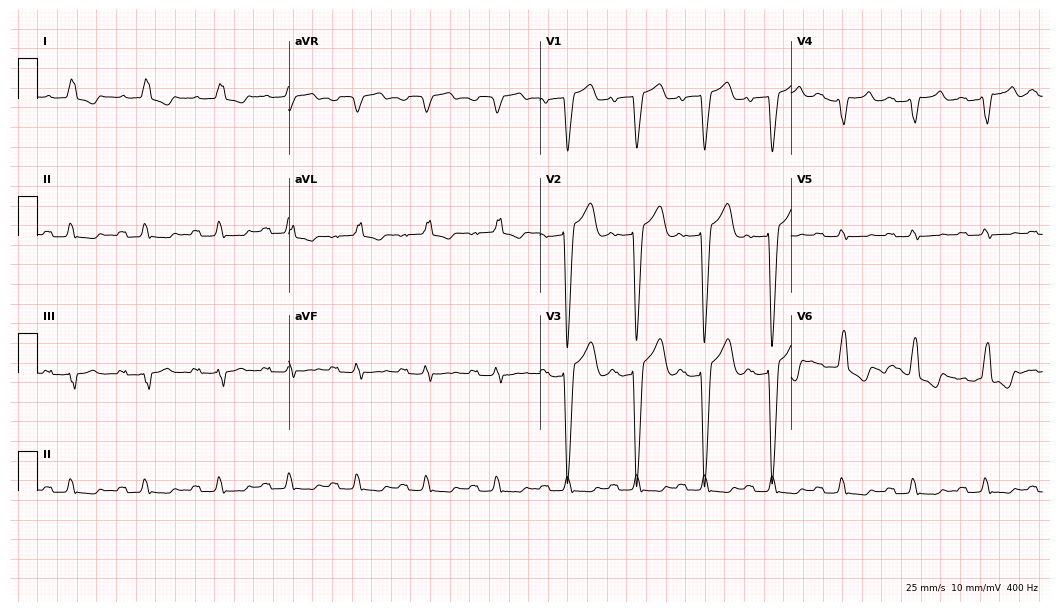
12-lead ECG (10.2-second recording at 400 Hz) from an 82-year-old female. Findings include first-degree AV block, left bundle branch block (LBBB).